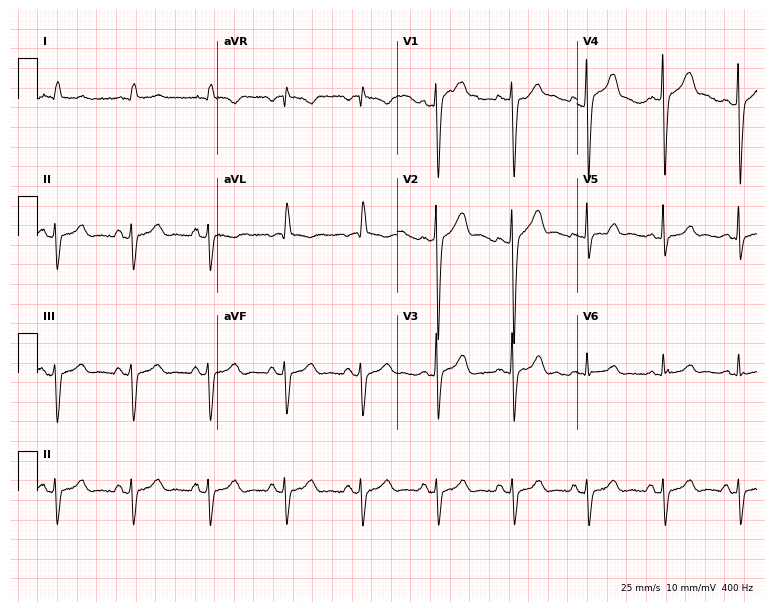
12-lead ECG from a man, 81 years old. Screened for six findings — first-degree AV block, right bundle branch block, left bundle branch block, sinus bradycardia, atrial fibrillation, sinus tachycardia — none is recorded. Findings outside these six are not listed.